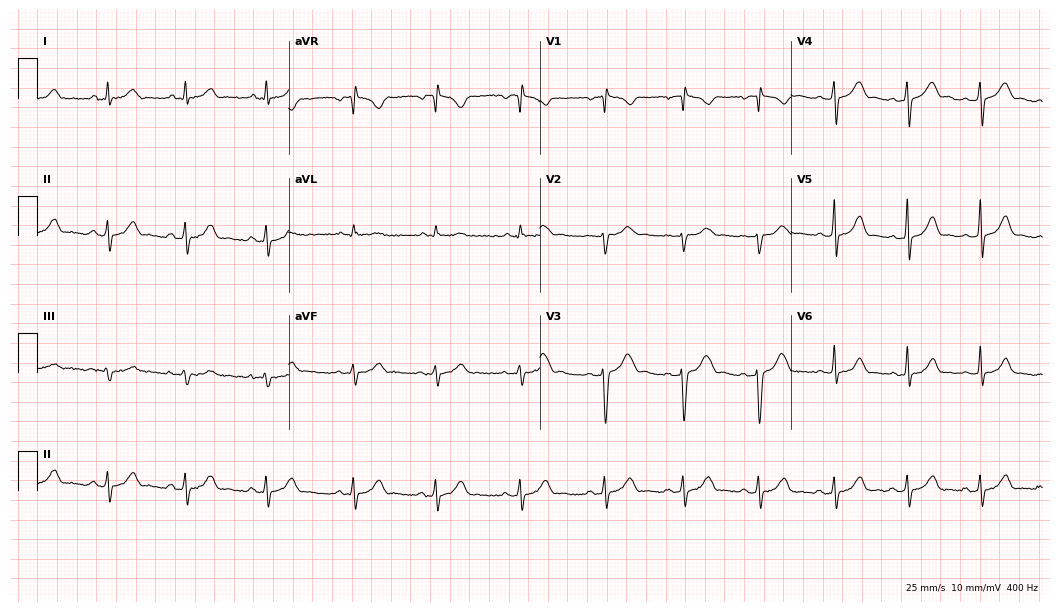
Electrocardiogram, a female patient, 31 years old. Overall reading on record: normal ECG.